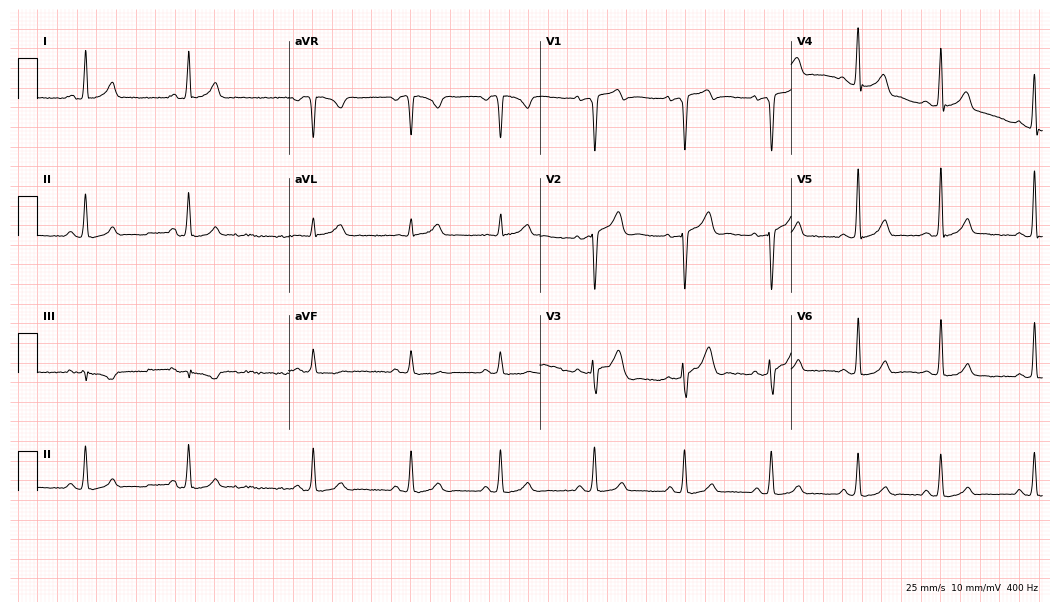
12-lead ECG from a 27-year-old male. No first-degree AV block, right bundle branch block (RBBB), left bundle branch block (LBBB), sinus bradycardia, atrial fibrillation (AF) or sinus tachycardia recorded for this tracing.